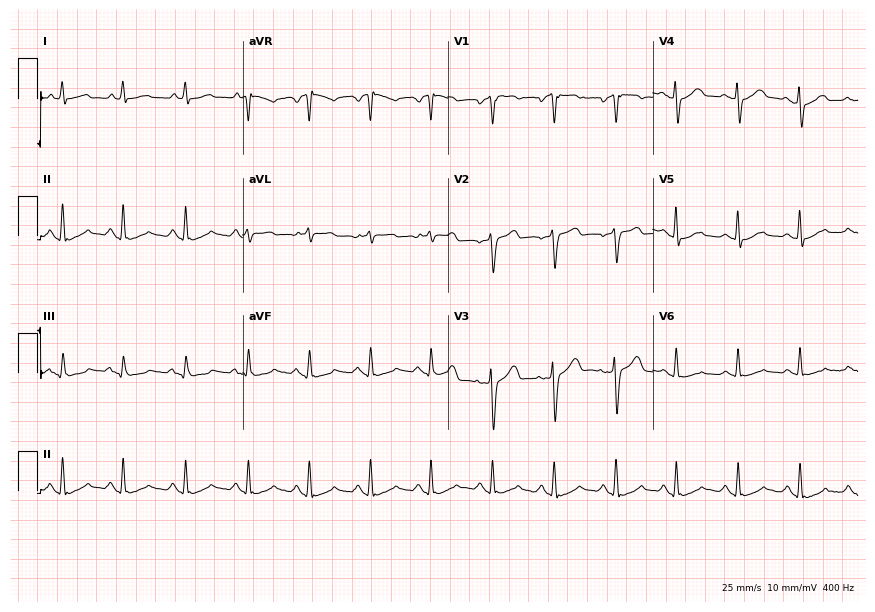
Electrocardiogram (8.4-second recording at 400 Hz), a female, 56 years old. Of the six screened findings (first-degree AV block, right bundle branch block, left bundle branch block, sinus bradycardia, atrial fibrillation, sinus tachycardia), none is recorded.